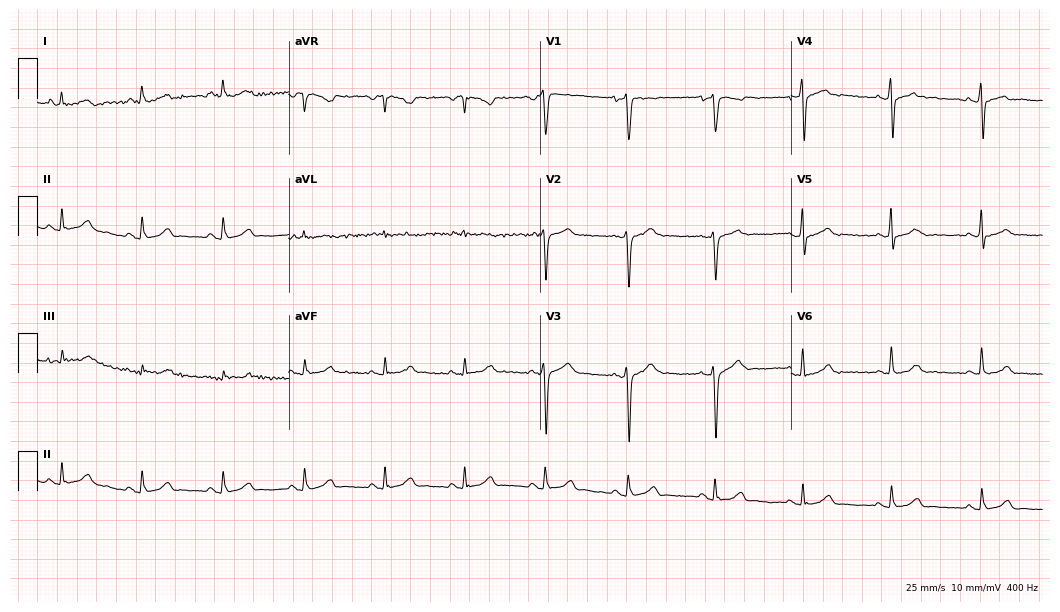
Electrocardiogram, a 37-year-old male patient. Overall reading on record: normal ECG.